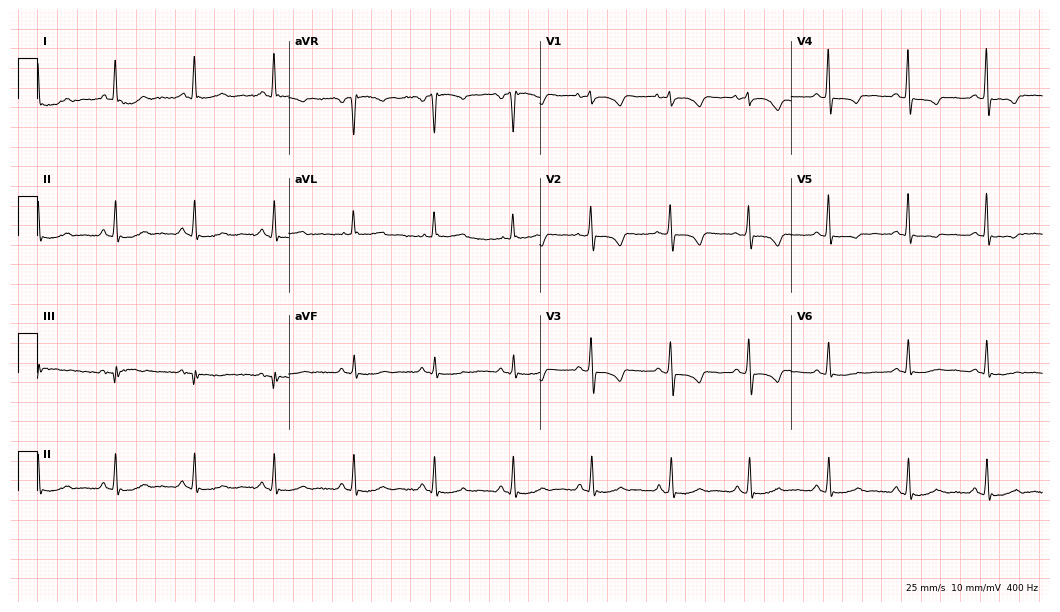
ECG (10.2-second recording at 400 Hz) — a female, 48 years old. Screened for six findings — first-degree AV block, right bundle branch block, left bundle branch block, sinus bradycardia, atrial fibrillation, sinus tachycardia — none is recorded. Findings outside these six are not listed.